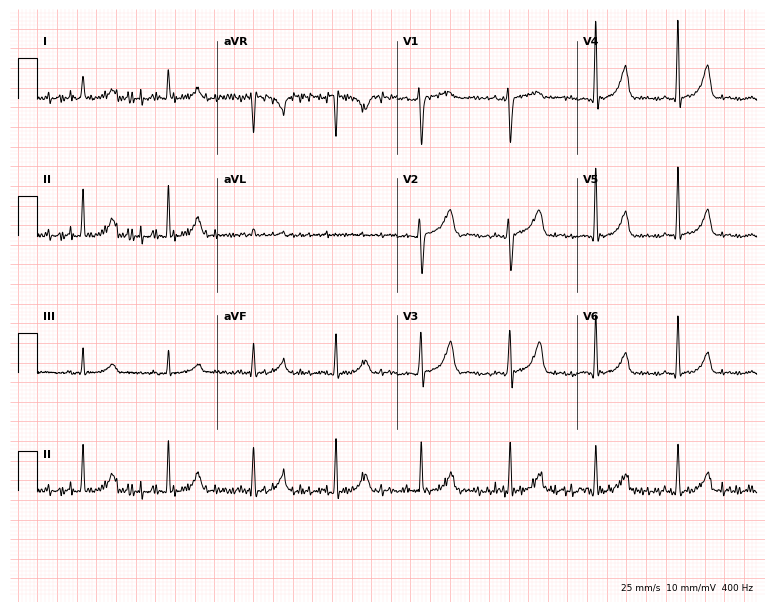
ECG (7.3-second recording at 400 Hz) — a 42-year-old female. Labelled as a normal ECG.